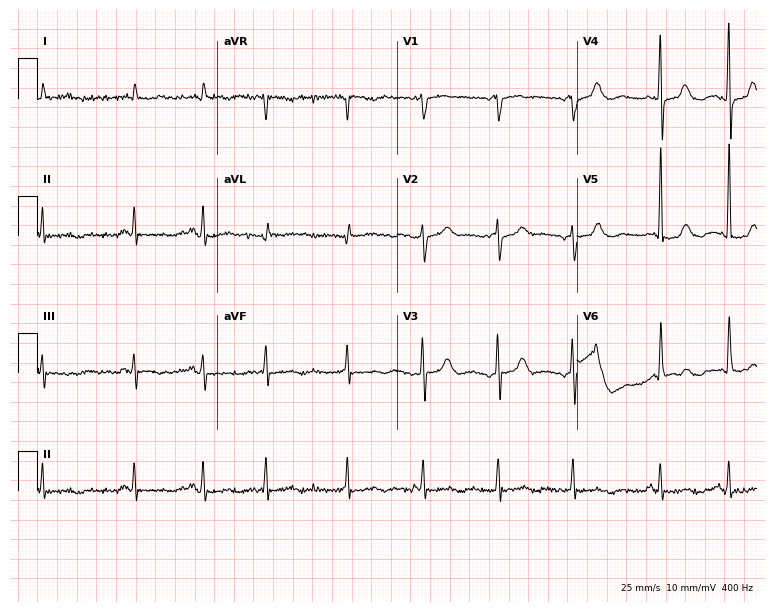
Standard 12-lead ECG recorded from a 67-year-old female (7.3-second recording at 400 Hz). None of these six findings is recorded: first-degree AV block, right bundle branch block, left bundle branch block, sinus bradycardia, atrial fibrillation, sinus tachycardia.